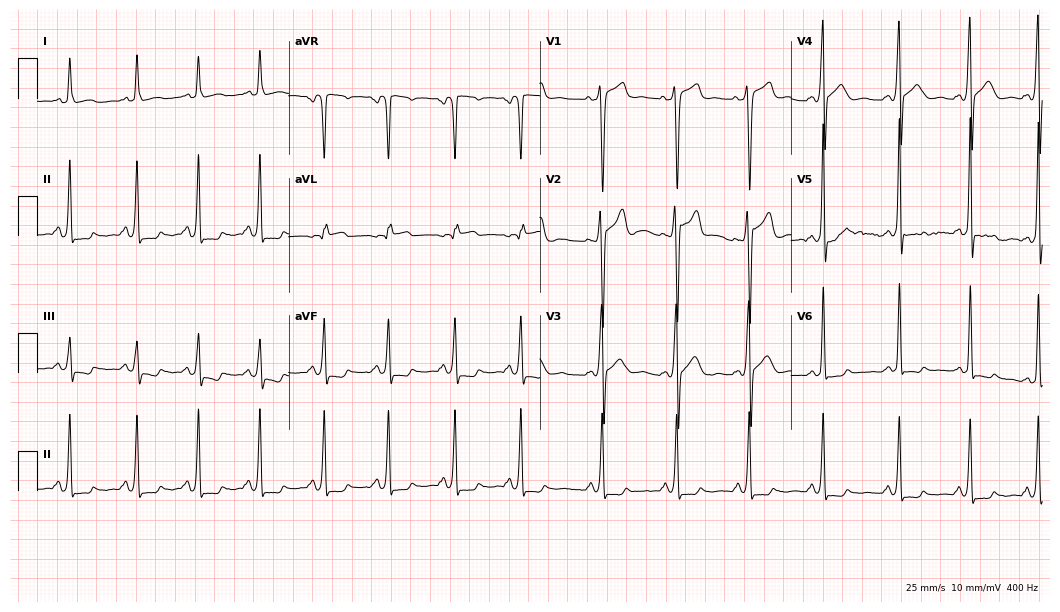
Electrocardiogram, a 26-year-old man. Of the six screened findings (first-degree AV block, right bundle branch block, left bundle branch block, sinus bradycardia, atrial fibrillation, sinus tachycardia), none is recorded. Only these six findings were labelled.